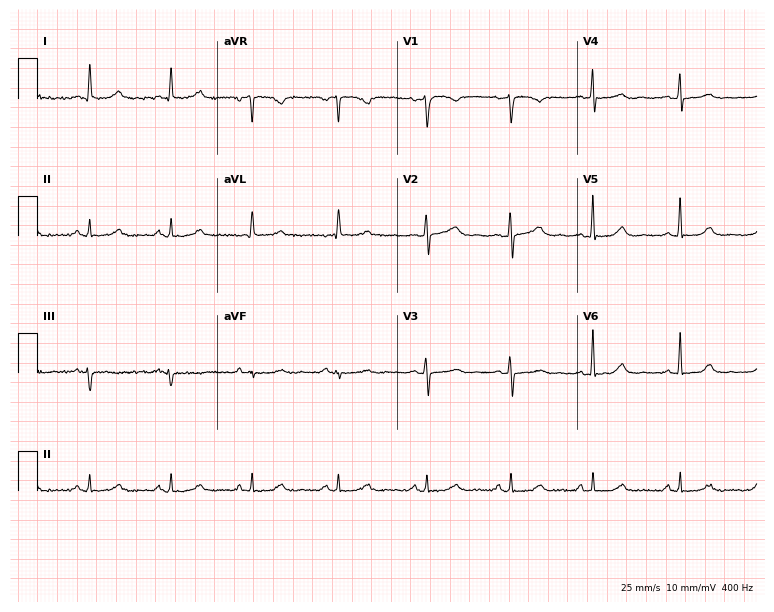
Electrocardiogram, a woman, 64 years old. Overall reading on record: normal ECG.